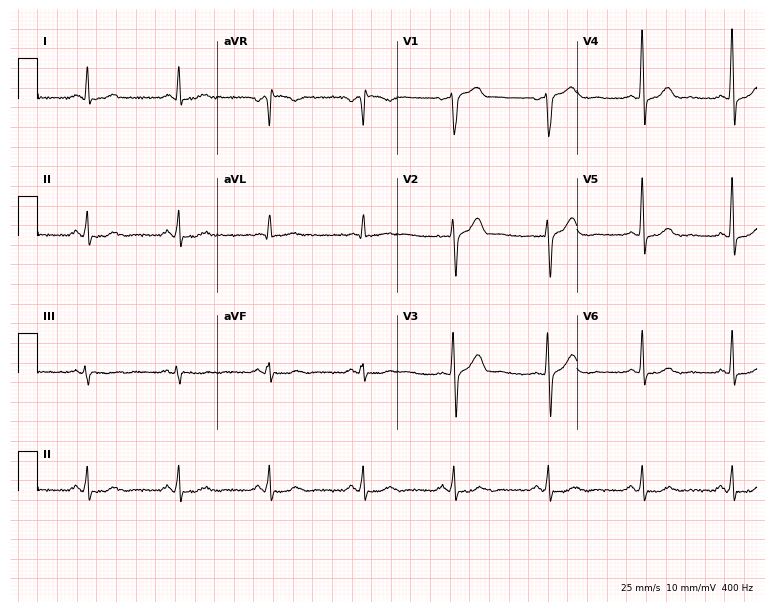
12-lead ECG from a 46-year-old male. Recorded interpretation: within normal limits.